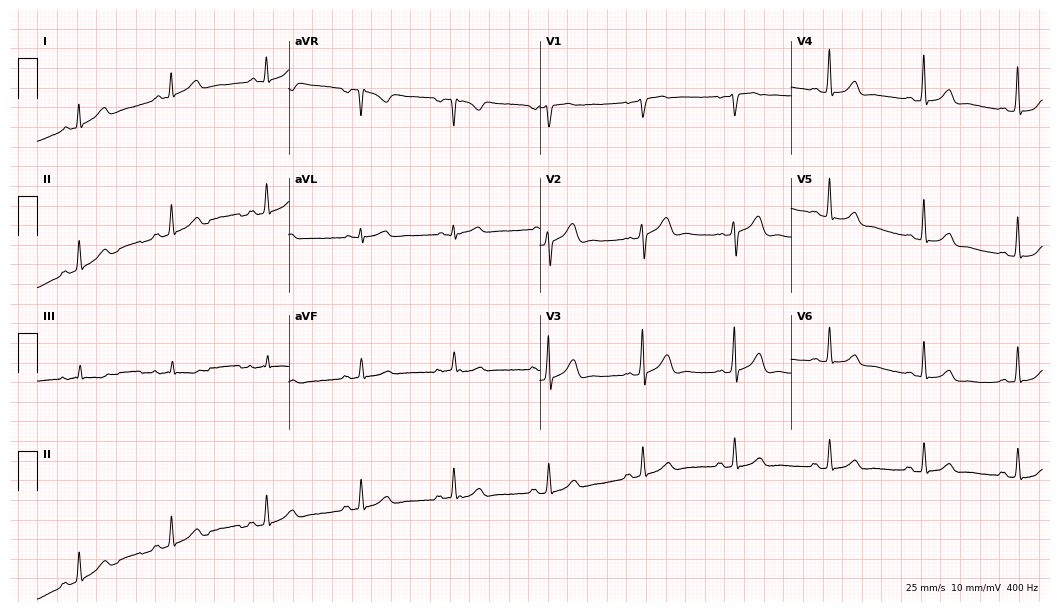
12-lead ECG (10.2-second recording at 400 Hz) from a male, 42 years old. Screened for six findings — first-degree AV block, right bundle branch block (RBBB), left bundle branch block (LBBB), sinus bradycardia, atrial fibrillation (AF), sinus tachycardia — none is recorded. Only these six findings were labelled.